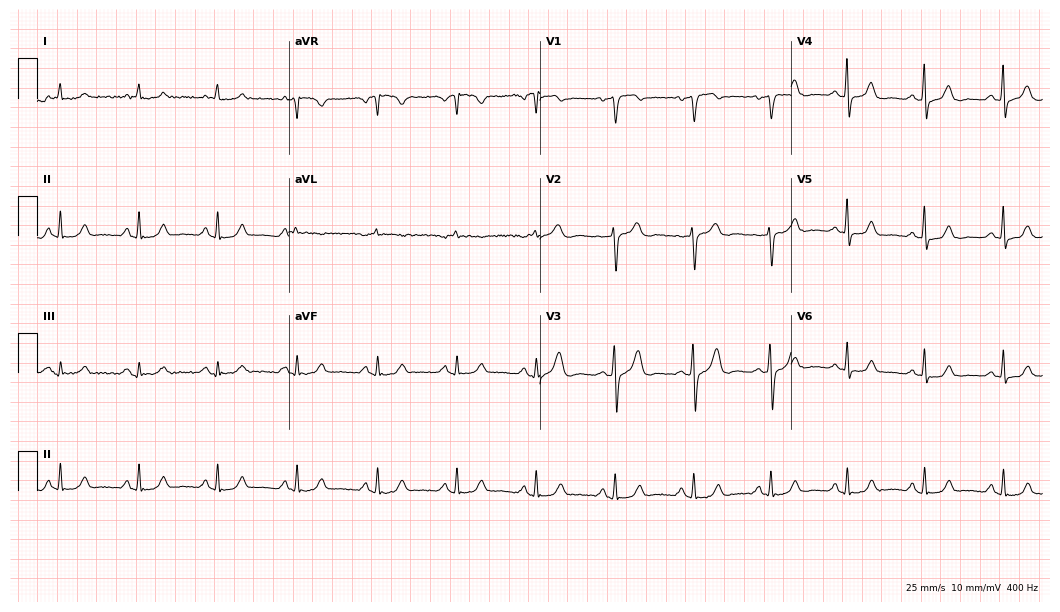
Resting 12-lead electrocardiogram. Patient: a 57-year-old woman. Read as a normal ECG.